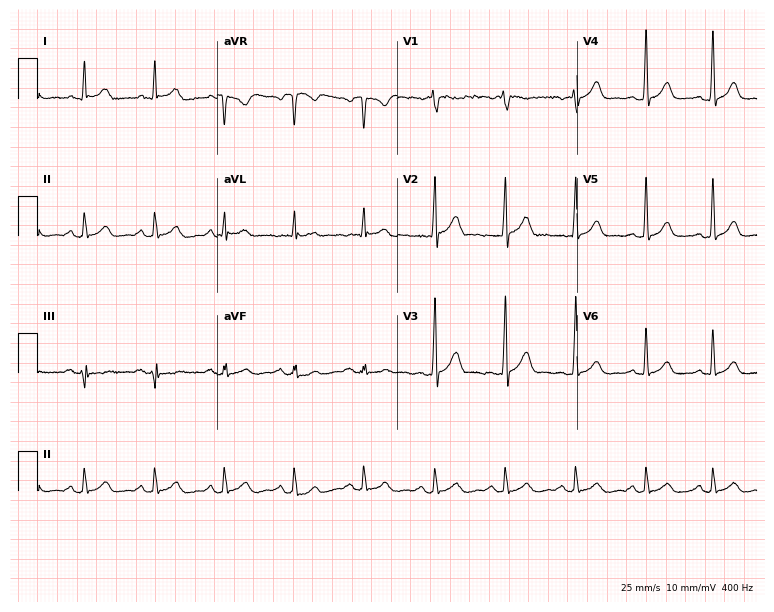
Resting 12-lead electrocardiogram. Patient: a male, 40 years old. Read as a normal ECG.